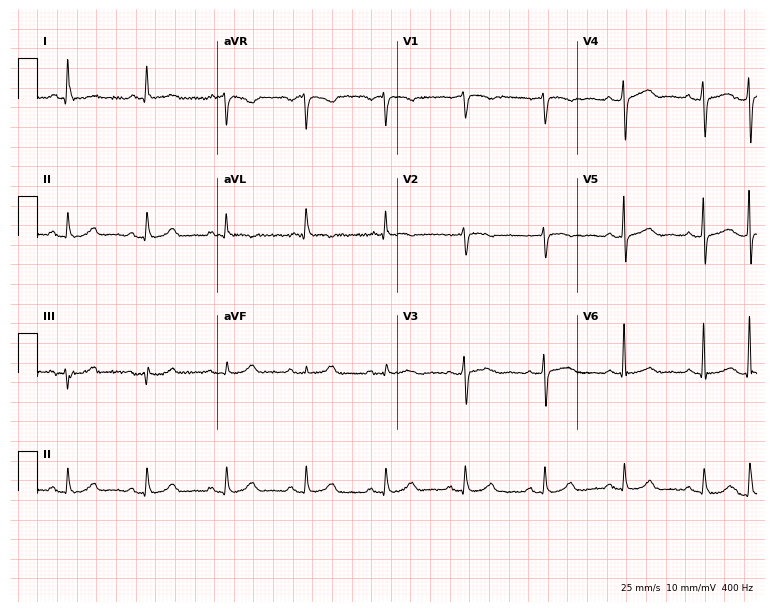
Standard 12-lead ECG recorded from a 64-year-old female patient (7.3-second recording at 400 Hz). Read as a normal ECG.